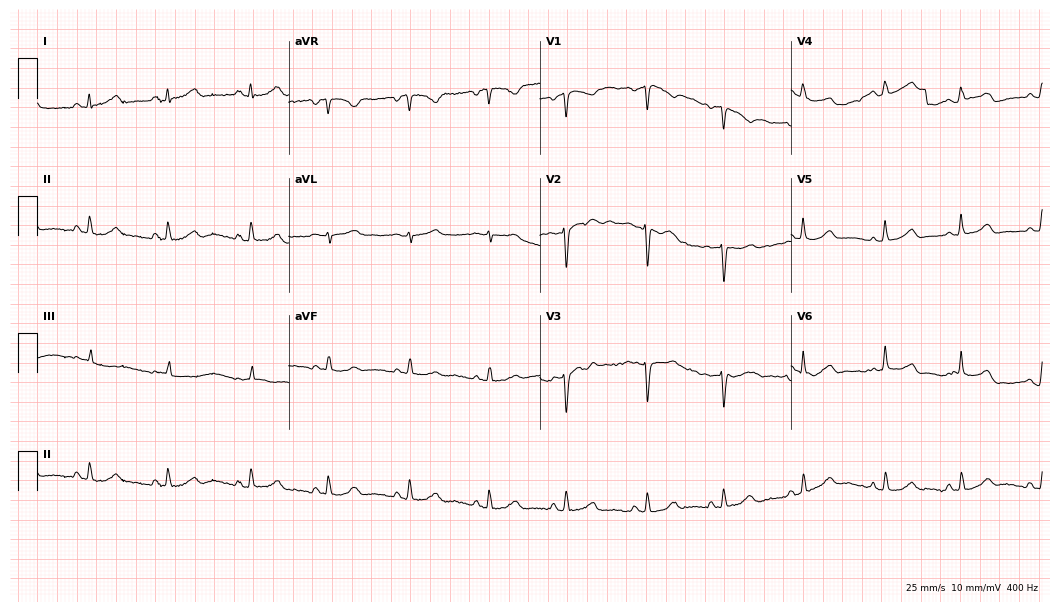
Standard 12-lead ECG recorded from a 31-year-old female. None of these six findings is recorded: first-degree AV block, right bundle branch block, left bundle branch block, sinus bradycardia, atrial fibrillation, sinus tachycardia. Other findings, if any, are not listed.